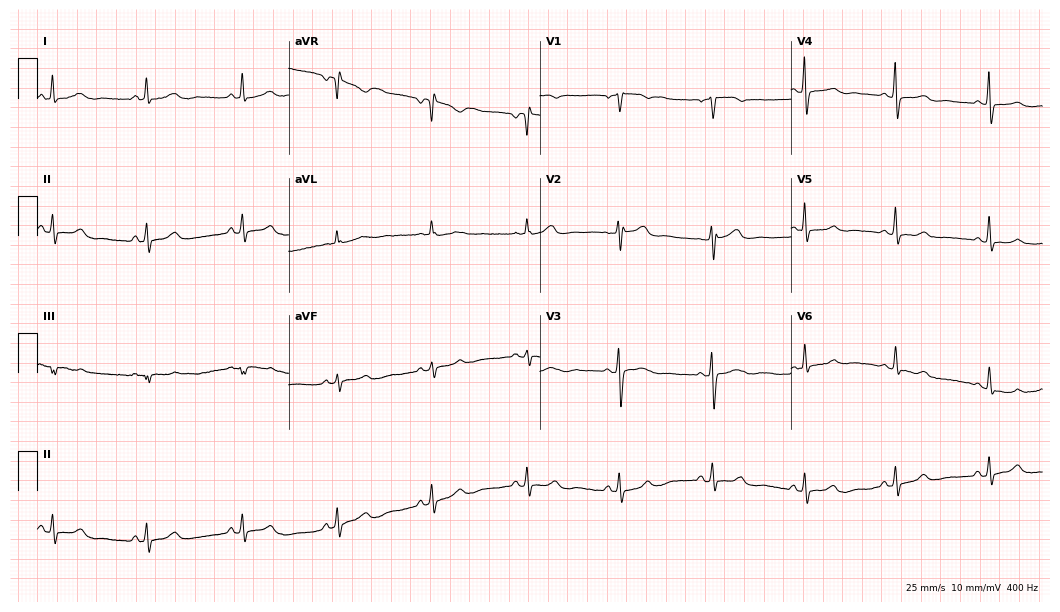
12-lead ECG from a 51-year-old woman. Screened for six findings — first-degree AV block, right bundle branch block (RBBB), left bundle branch block (LBBB), sinus bradycardia, atrial fibrillation (AF), sinus tachycardia — none is recorded. Only these six findings were labelled.